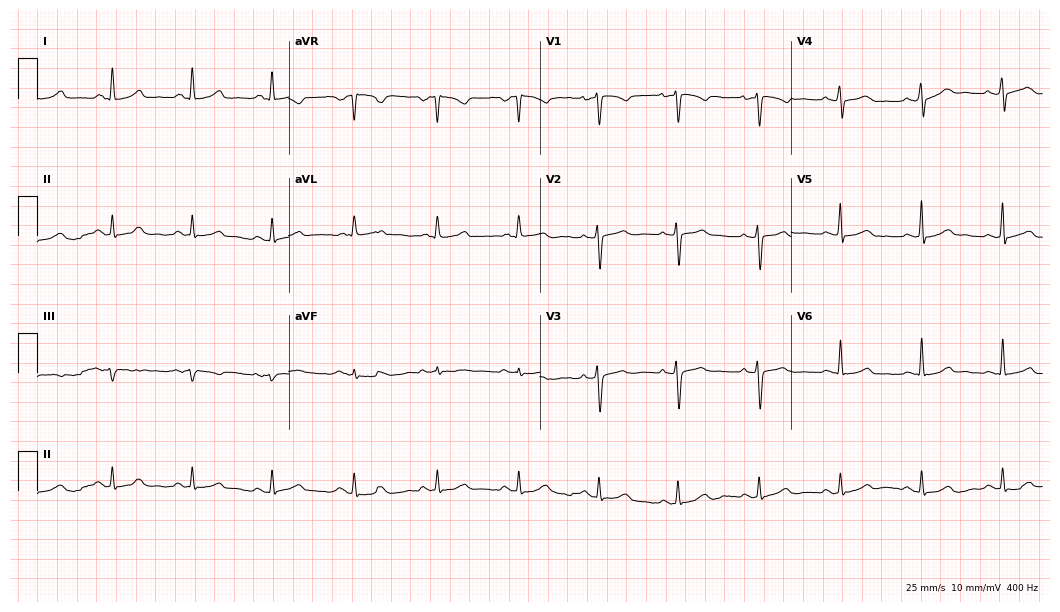
Electrocardiogram, a 42-year-old female. Overall reading on record: normal ECG.